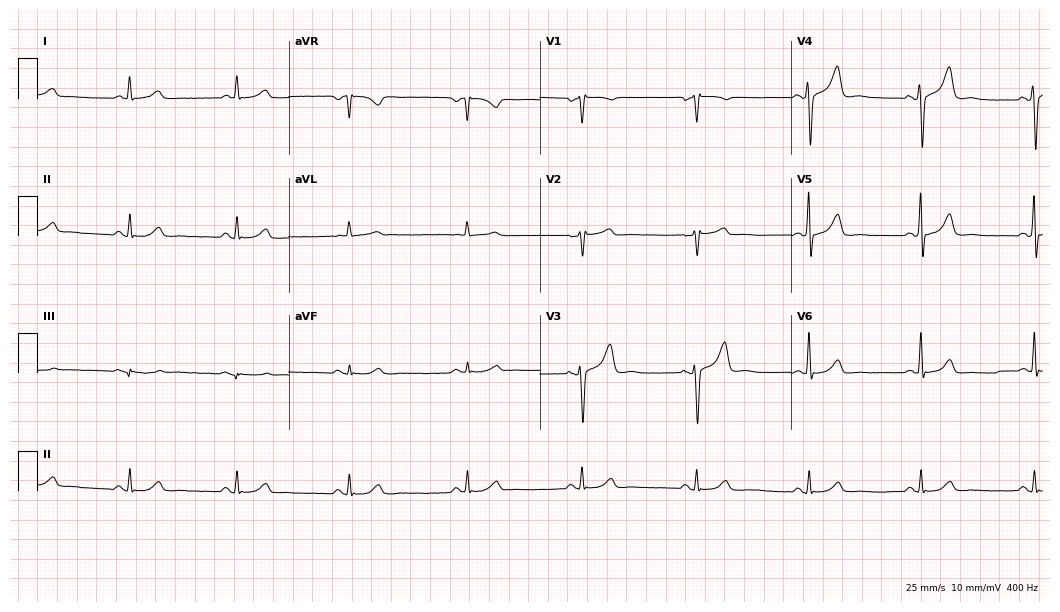
Electrocardiogram (10.2-second recording at 400 Hz), a man, 75 years old. Overall reading on record: normal ECG.